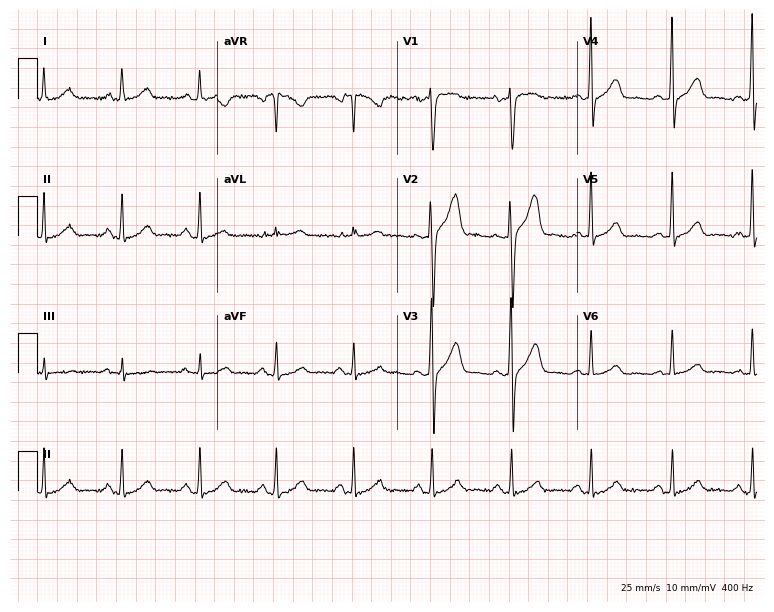
Resting 12-lead electrocardiogram. Patient: a 48-year-old man. Read as a normal ECG.